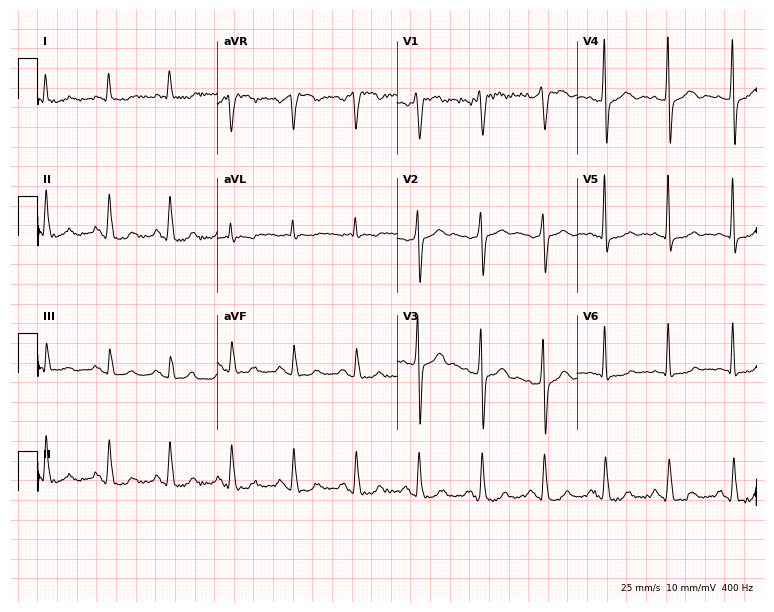
12-lead ECG from a 47-year-old male. Screened for six findings — first-degree AV block, right bundle branch block (RBBB), left bundle branch block (LBBB), sinus bradycardia, atrial fibrillation (AF), sinus tachycardia — none is recorded.